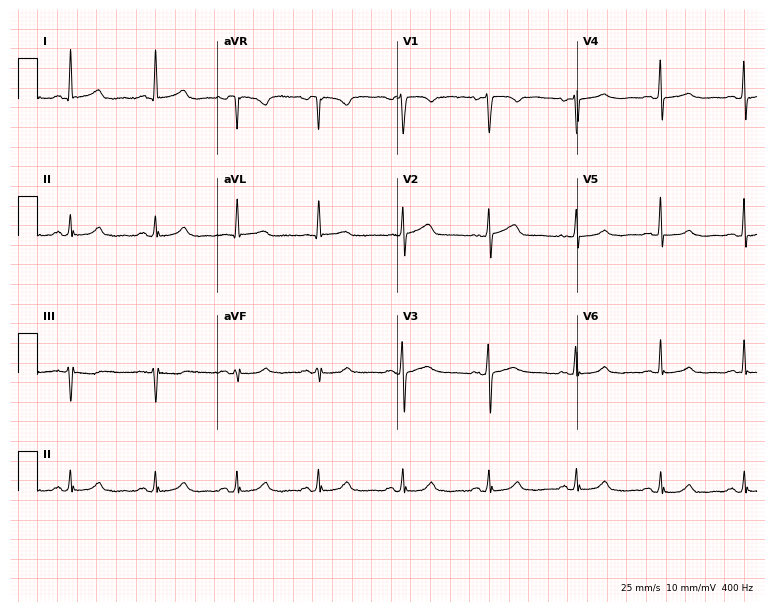
Standard 12-lead ECG recorded from a female patient, 50 years old. None of these six findings is recorded: first-degree AV block, right bundle branch block, left bundle branch block, sinus bradycardia, atrial fibrillation, sinus tachycardia. Other findings, if any, are not listed.